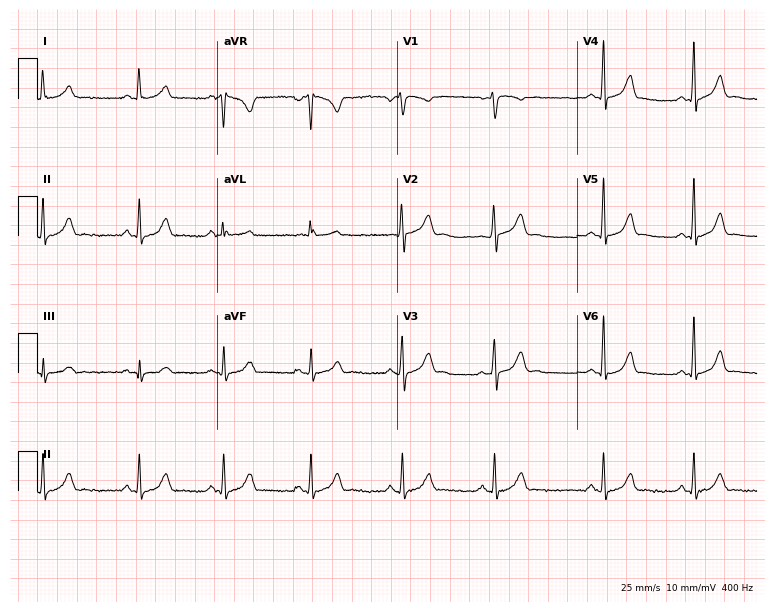
Standard 12-lead ECG recorded from a female, 30 years old (7.3-second recording at 400 Hz). Read as a normal ECG.